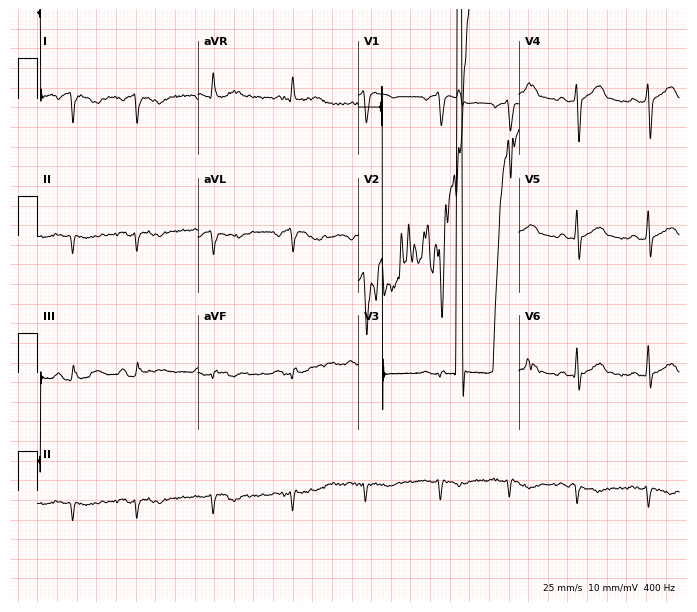
Electrocardiogram, a 34-year-old man. Of the six screened findings (first-degree AV block, right bundle branch block, left bundle branch block, sinus bradycardia, atrial fibrillation, sinus tachycardia), none is recorded.